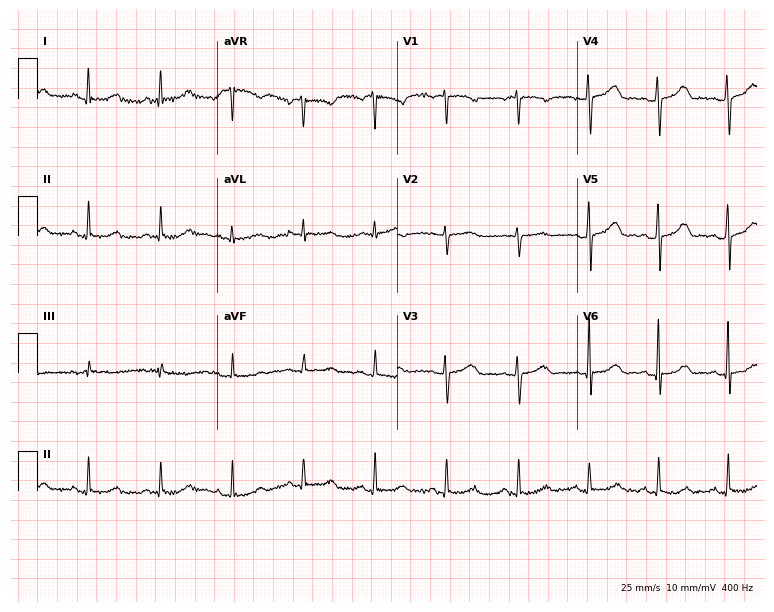
12-lead ECG from a woman, 49 years old (7.3-second recording at 400 Hz). Recorded interpretation: within normal limits.